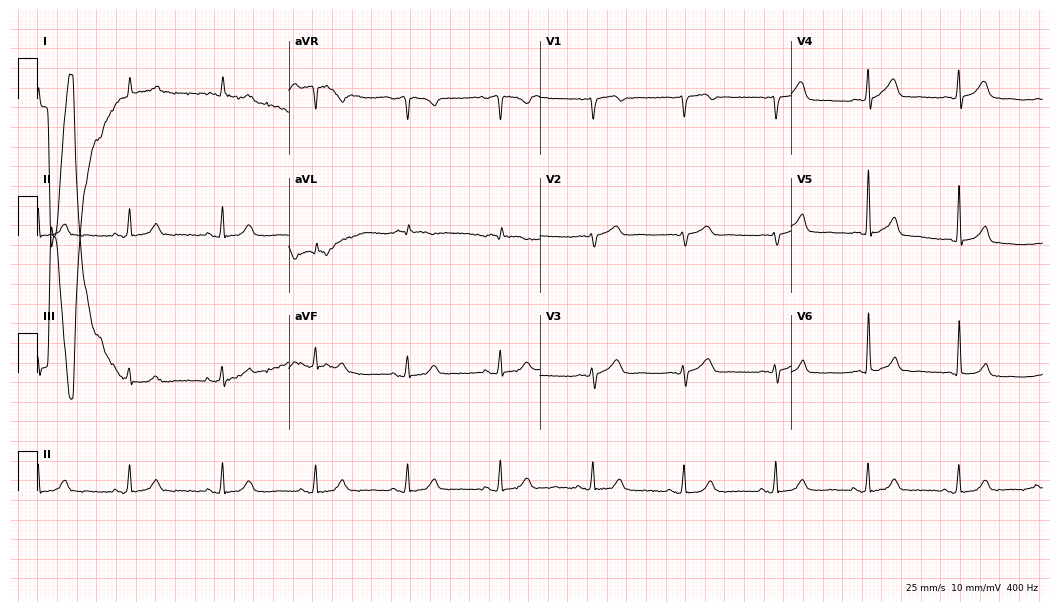
ECG (10.2-second recording at 400 Hz) — a male patient, 77 years old. Labelled as a normal ECG.